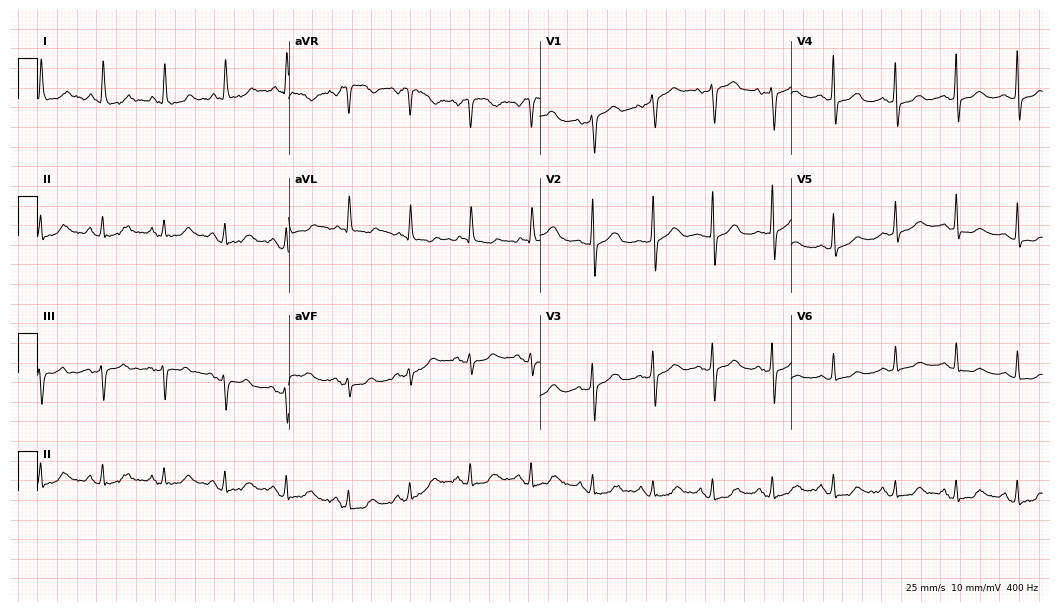
12-lead ECG from a 76-year-old female patient. Recorded interpretation: within normal limits.